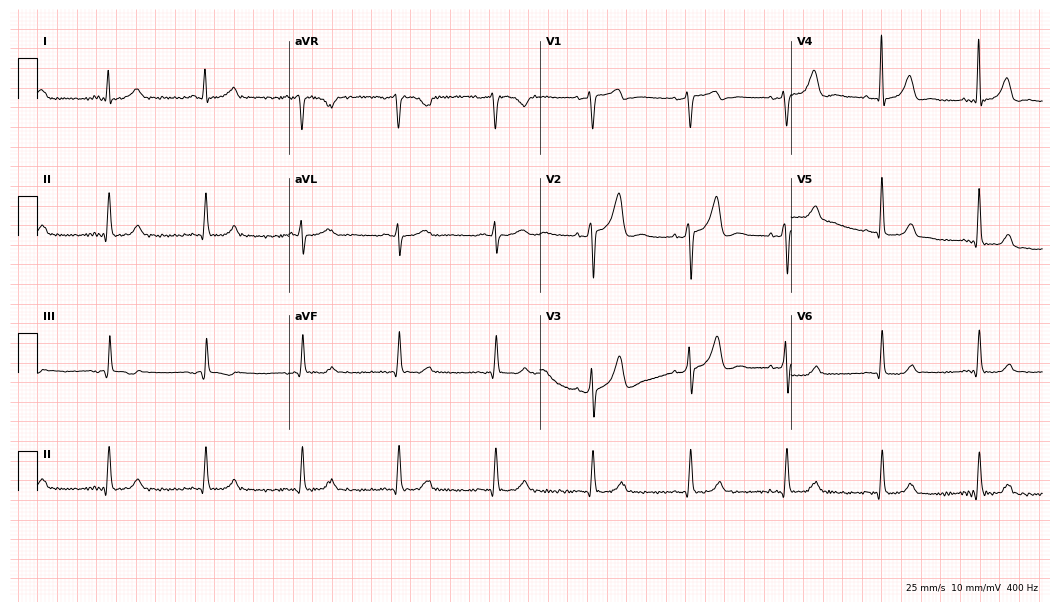
Electrocardiogram (10.2-second recording at 400 Hz), a 53-year-old male patient. Overall reading on record: normal ECG.